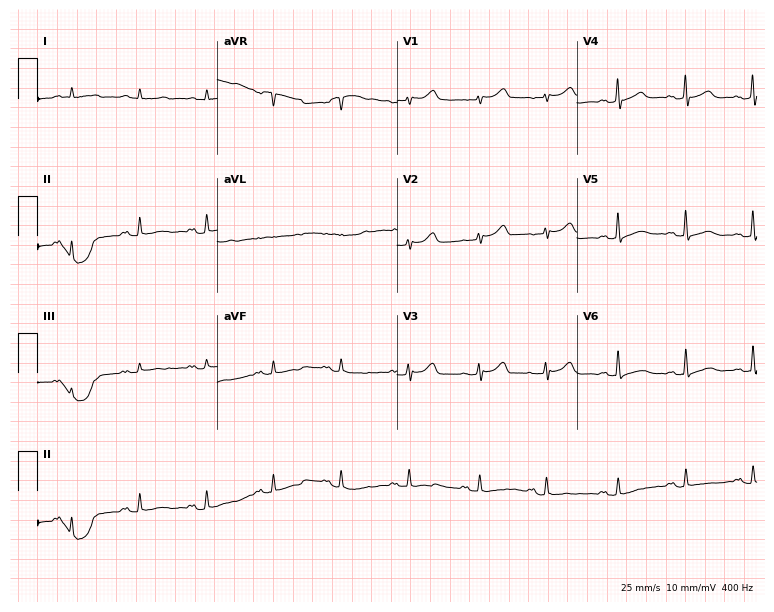
Electrocardiogram, a woman, 62 years old. Of the six screened findings (first-degree AV block, right bundle branch block, left bundle branch block, sinus bradycardia, atrial fibrillation, sinus tachycardia), none is recorded. Other findings, if any, are not listed.